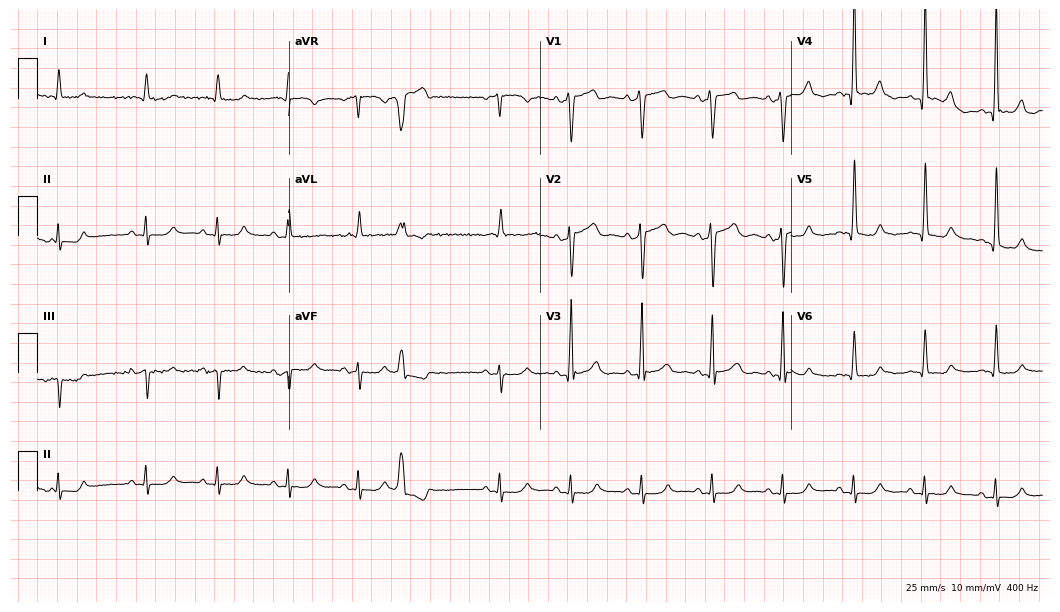
ECG (10.2-second recording at 400 Hz) — a male, 77 years old. Labelled as a normal ECG.